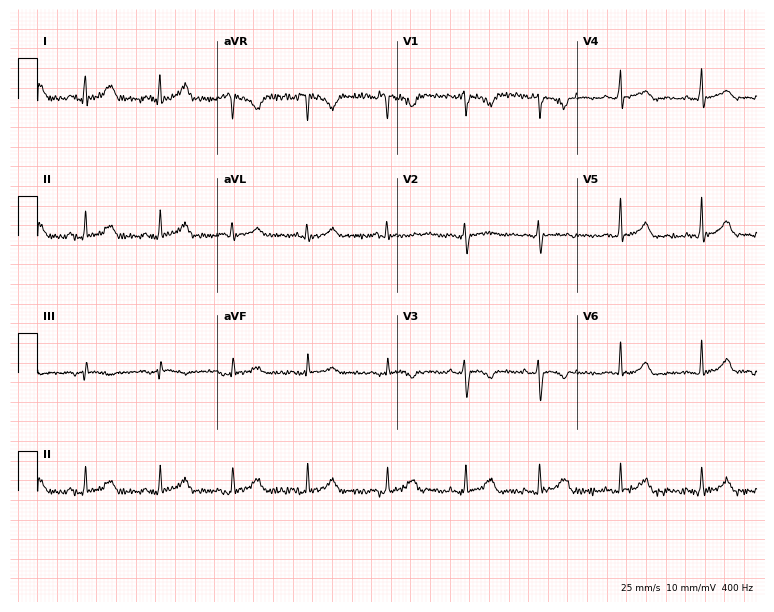
Resting 12-lead electrocardiogram. Patient: a 25-year-old female. None of these six findings is recorded: first-degree AV block, right bundle branch block, left bundle branch block, sinus bradycardia, atrial fibrillation, sinus tachycardia. Findings outside these six are not listed.